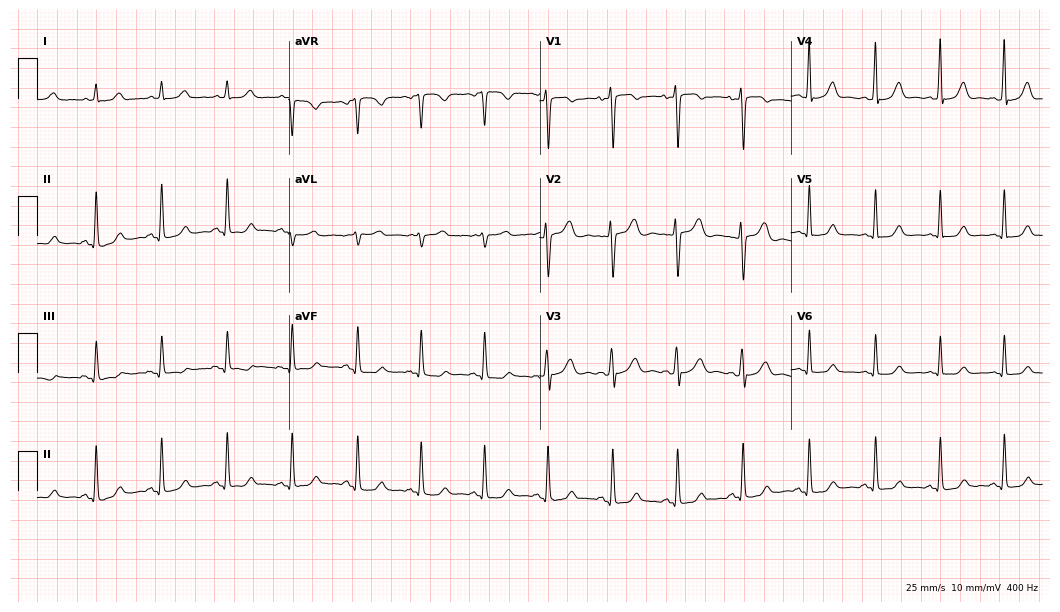
Resting 12-lead electrocardiogram (10.2-second recording at 400 Hz). Patient: a woman, 38 years old. Read as a normal ECG.